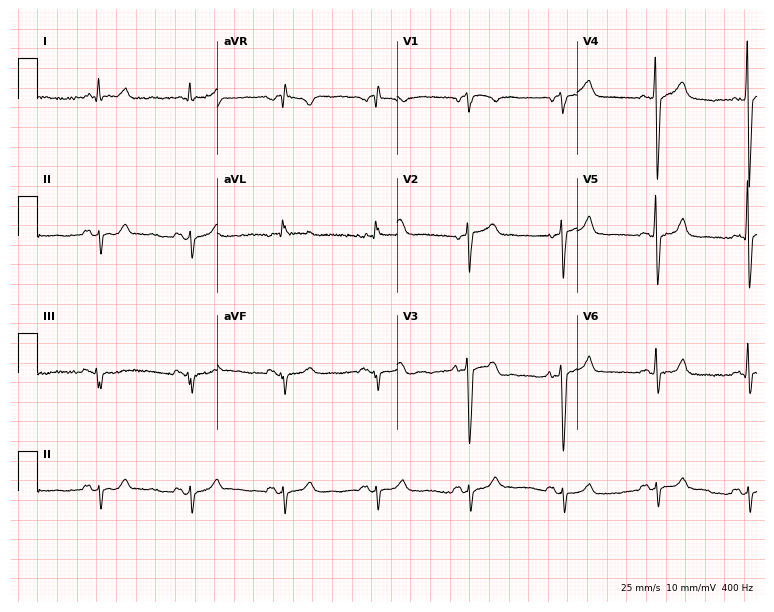
ECG (7.3-second recording at 400 Hz) — a 63-year-old male. Screened for six findings — first-degree AV block, right bundle branch block, left bundle branch block, sinus bradycardia, atrial fibrillation, sinus tachycardia — none is recorded. Only these six findings were labelled.